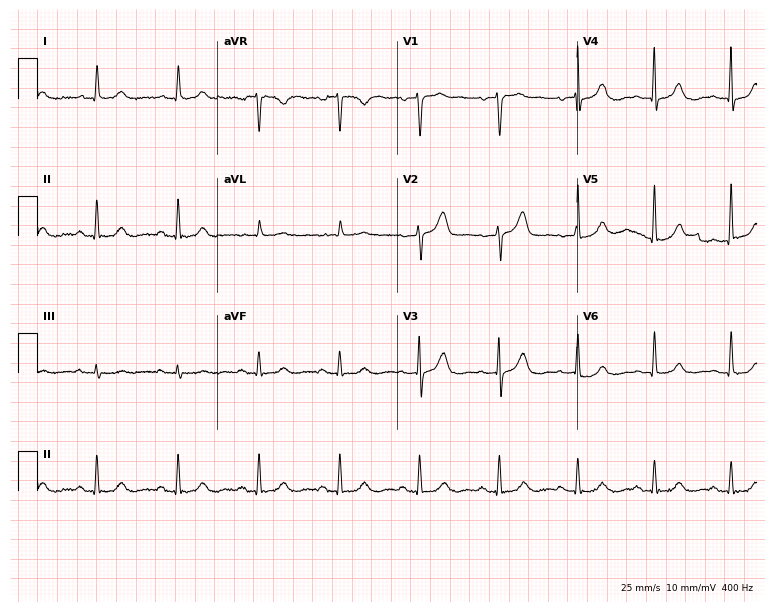
Electrocardiogram (7.3-second recording at 400 Hz), a female, 82 years old. Overall reading on record: normal ECG.